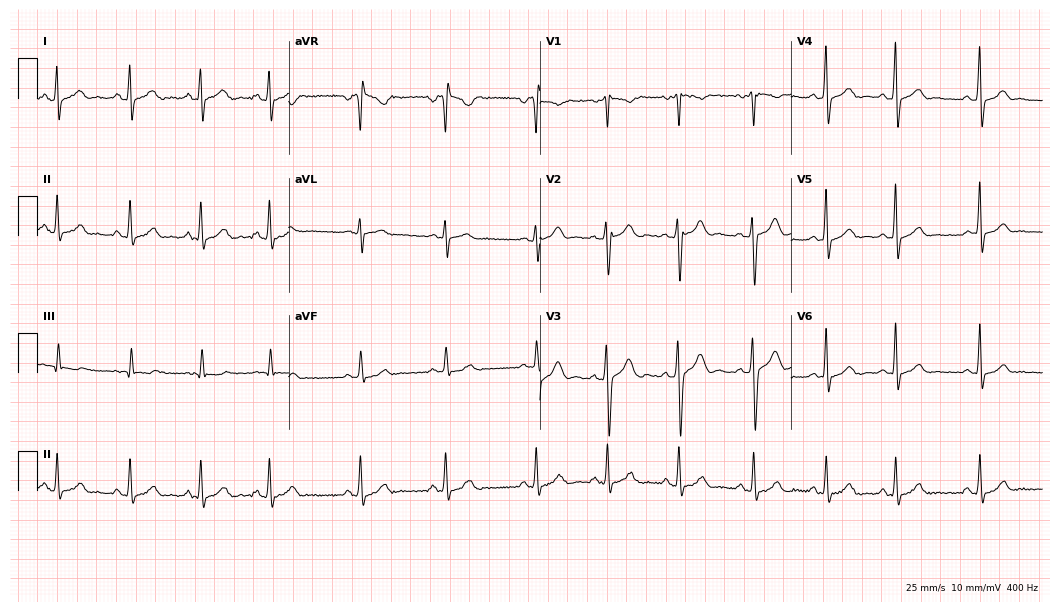
Resting 12-lead electrocardiogram (10.2-second recording at 400 Hz). Patient: a 25-year-old male. None of these six findings is recorded: first-degree AV block, right bundle branch block, left bundle branch block, sinus bradycardia, atrial fibrillation, sinus tachycardia.